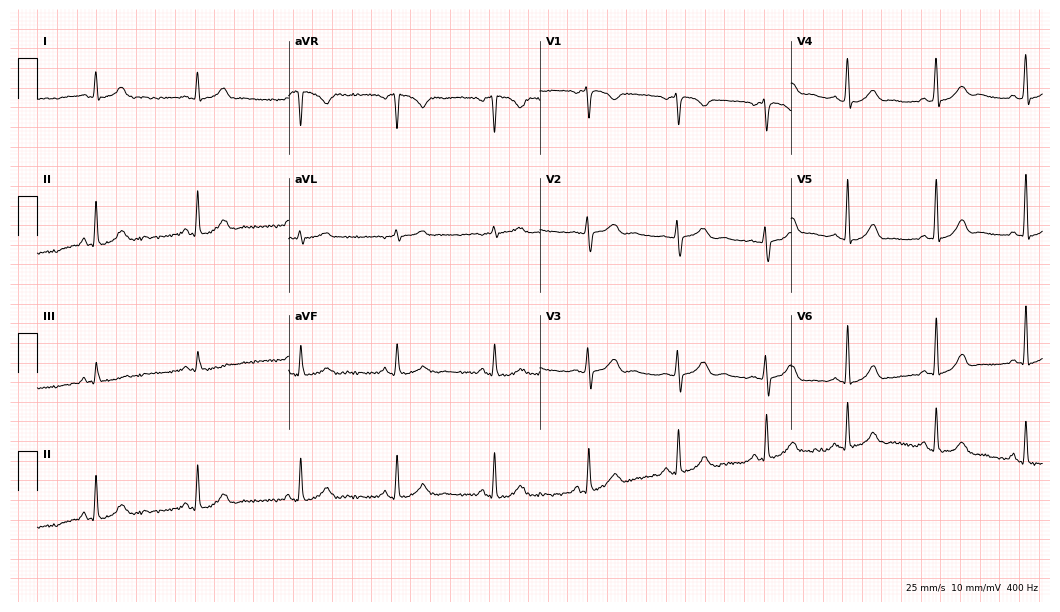
Resting 12-lead electrocardiogram. Patient: a 39-year-old woman. Read as a normal ECG.